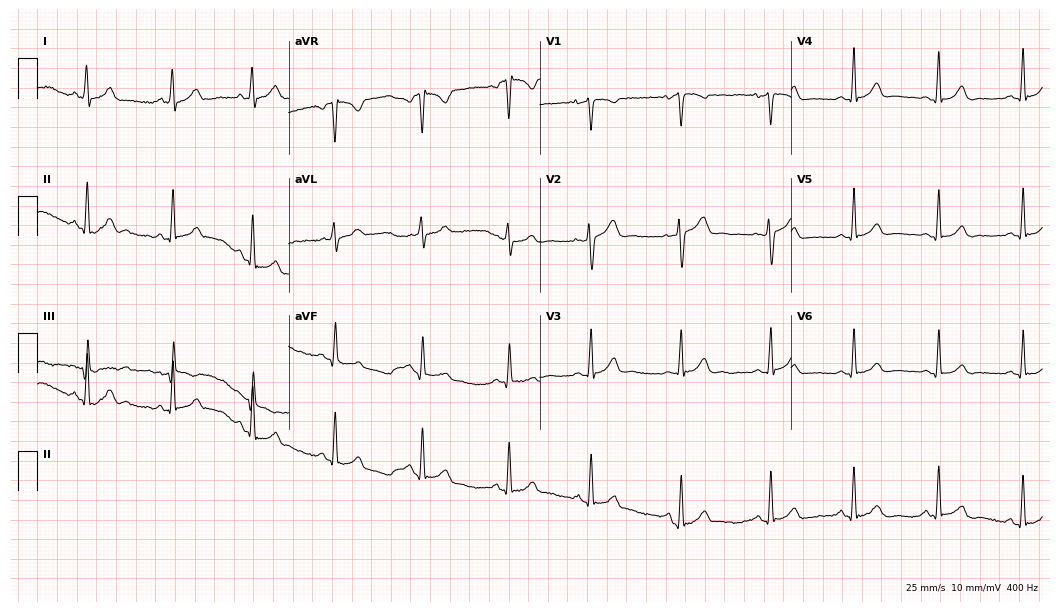
Electrocardiogram, a female patient, 28 years old. Overall reading on record: normal ECG.